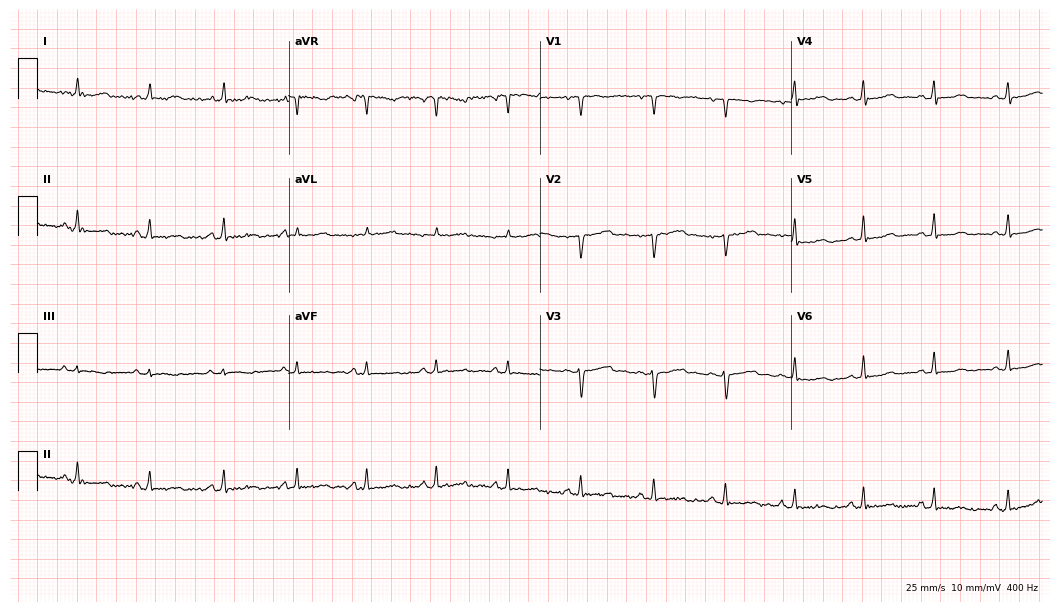
Standard 12-lead ECG recorded from a woman, 53 years old (10.2-second recording at 400 Hz). None of these six findings is recorded: first-degree AV block, right bundle branch block, left bundle branch block, sinus bradycardia, atrial fibrillation, sinus tachycardia.